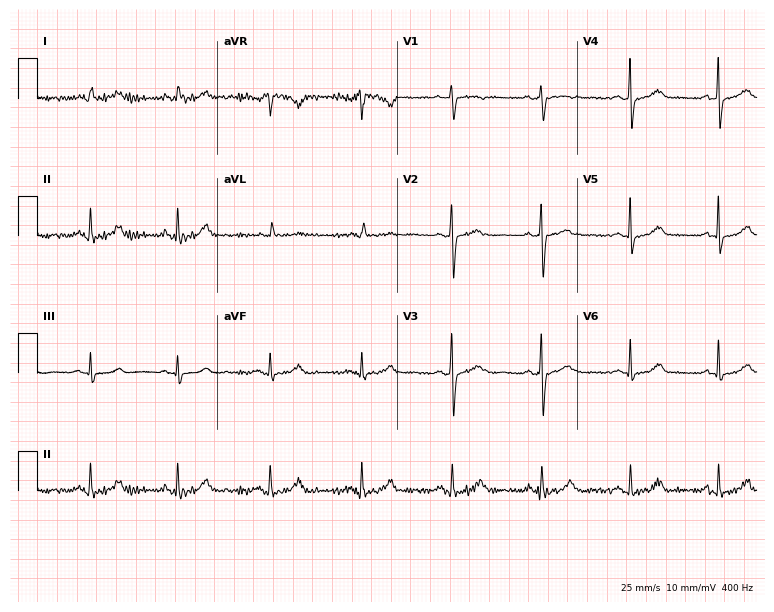
12-lead ECG (7.3-second recording at 400 Hz) from a female, 40 years old. Labelled as a normal ECG.